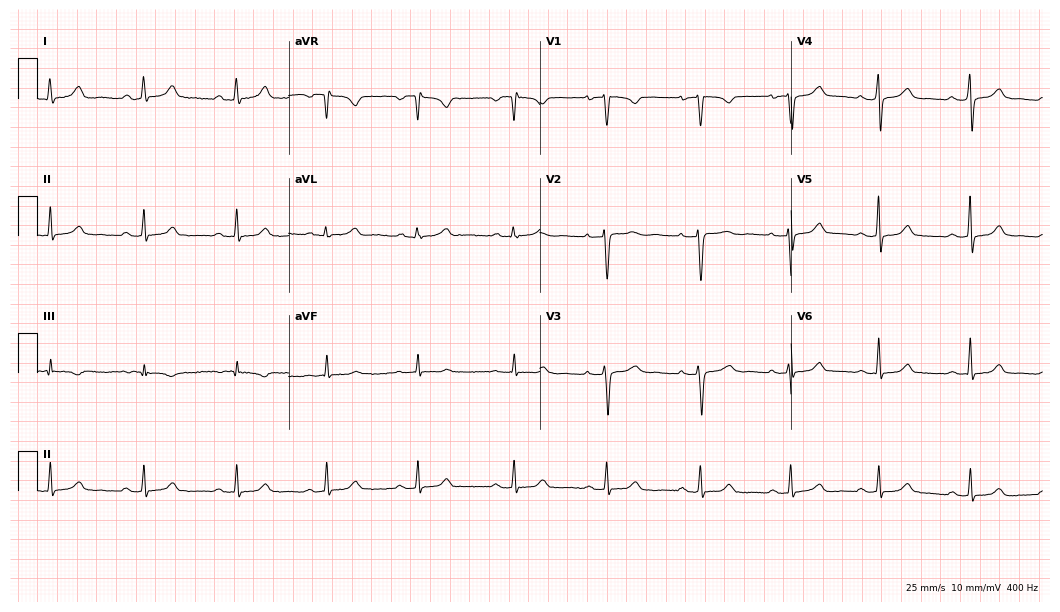
ECG (10.2-second recording at 400 Hz) — a female patient, 32 years old. Labelled as a normal ECG.